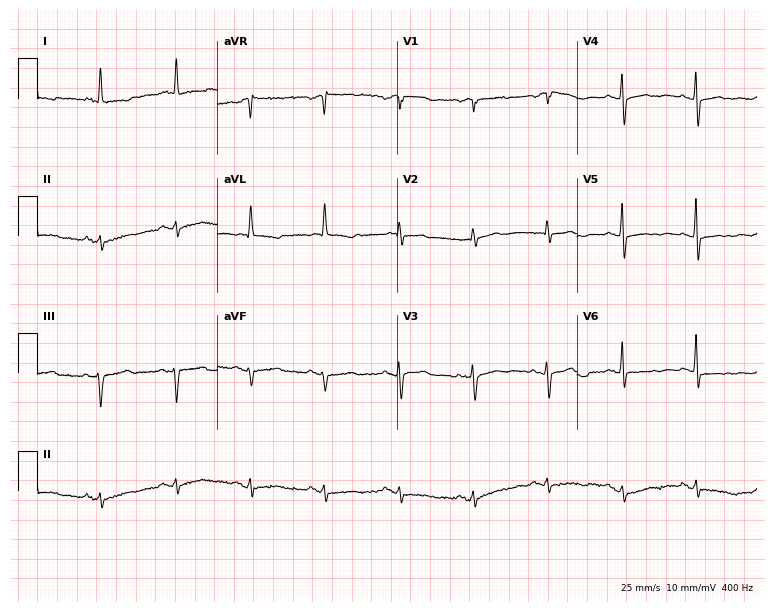
Standard 12-lead ECG recorded from a female, 84 years old. None of these six findings is recorded: first-degree AV block, right bundle branch block, left bundle branch block, sinus bradycardia, atrial fibrillation, sinus tachycardia. Only these six findings were labelled.